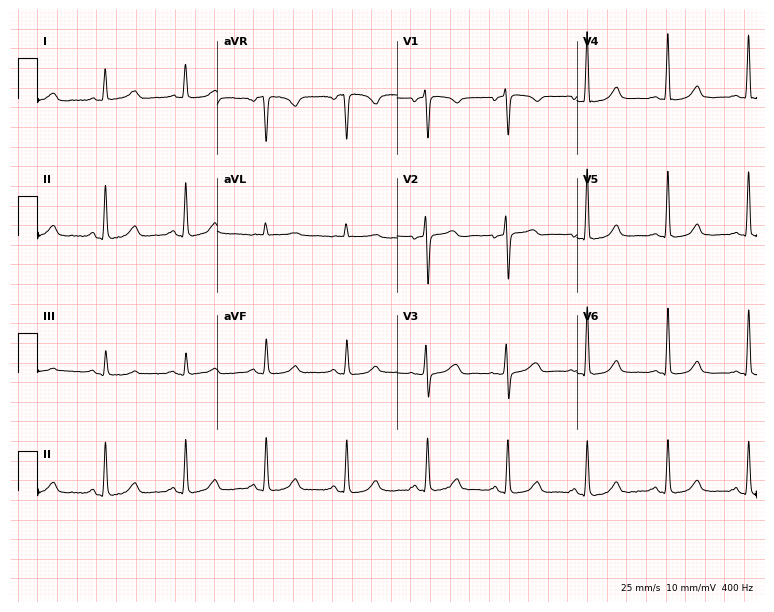
12-lead ECG from a 69-year-old woman (7.3-second recording at 400 Hz). No first-degree AV block, right bundle branch block (RBBB), left bundle branch block (LBBB), sinus bradycardia, atrial fibrillation (AF) or sinus tachycardia recorded for this tracing.